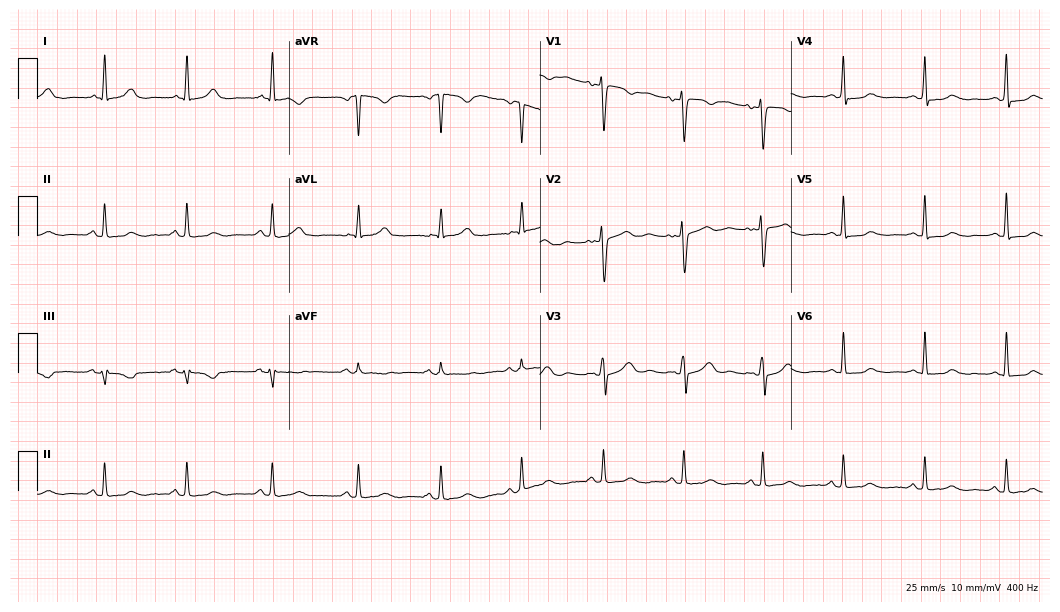
ECG — a 41-year-old woman. Labelled as a normal ECG.